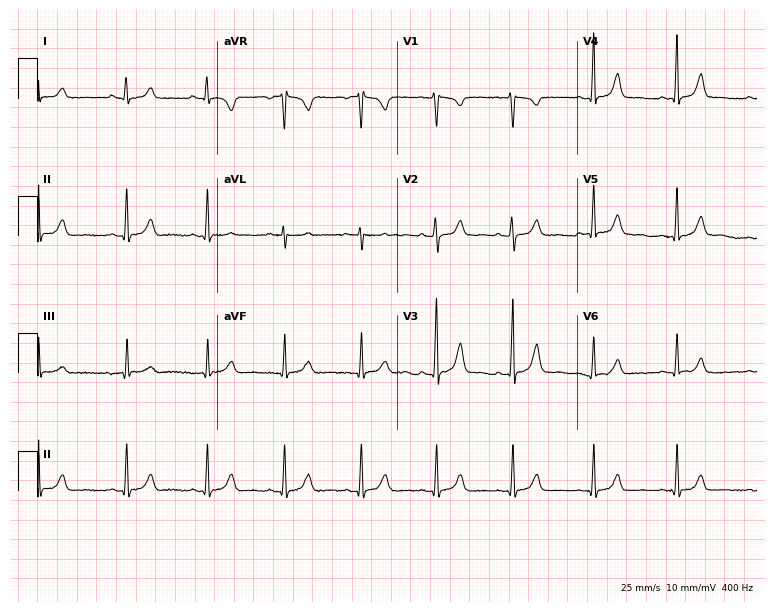
12-lead ECG from a female, 30 years old. No first-degree AV block, right bundle branch block, left bundle branch block, sinus bradycardia, atrial fibrillation or sinus tachycardia recorded for this tracing. Other findings, if any, are not listed.